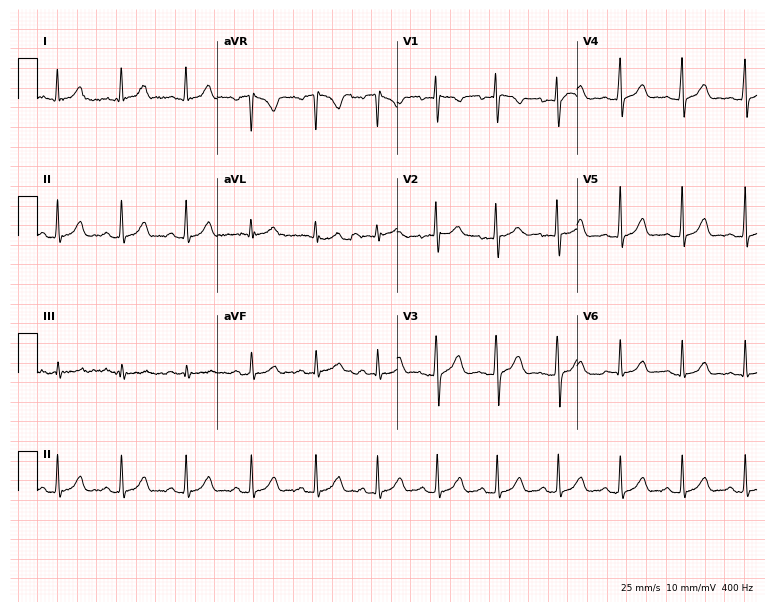
ECG (7.3-second recording at 400 Hz) — a 19-year-old woman. Labelled as a normal ECG.